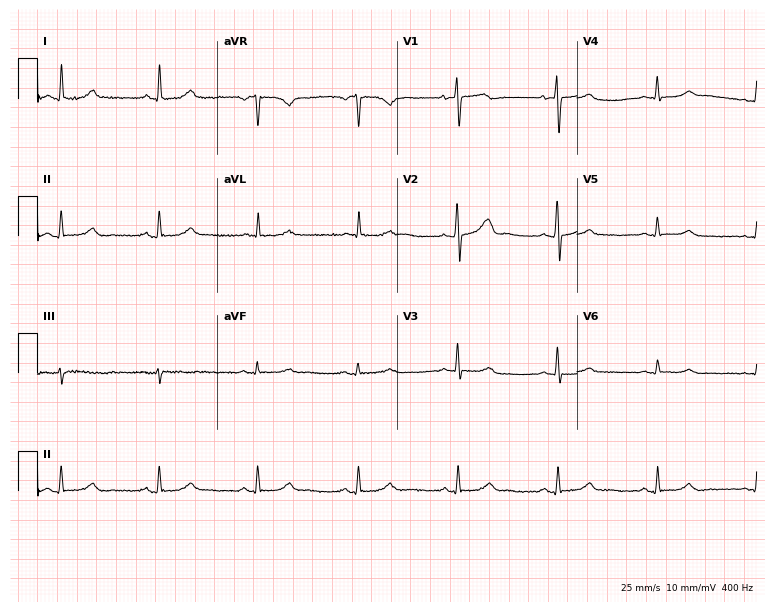
ECG (7.3-second recording at 400 Hz) — a female, 66 years old. Labelled as a normal ECG.